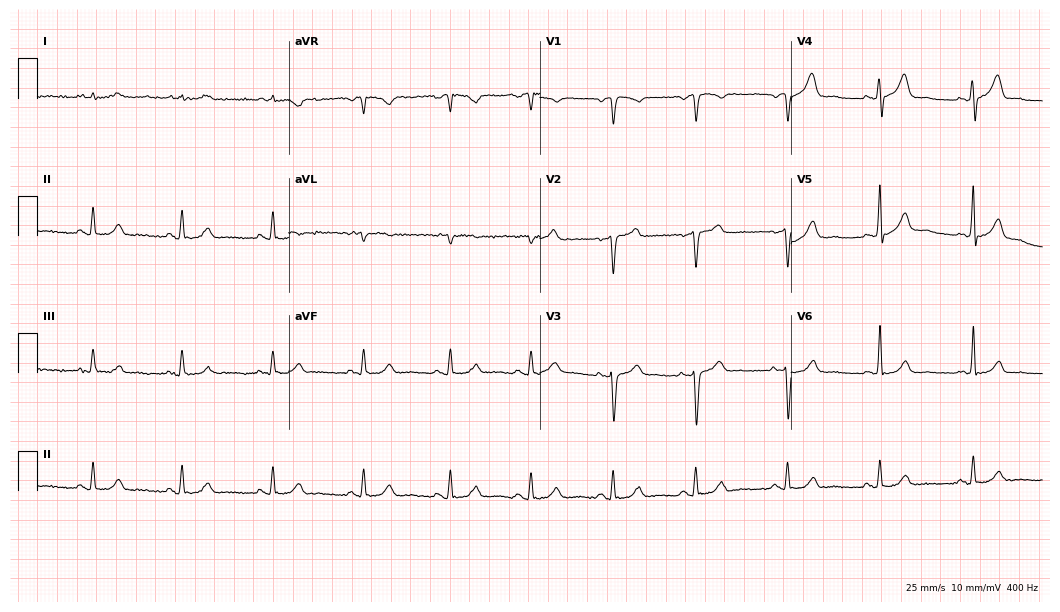
Electrocardiogram (10.2-second recording at 400 Hz), a 46-year-old male patient. Overall reading on record: normal ECG.